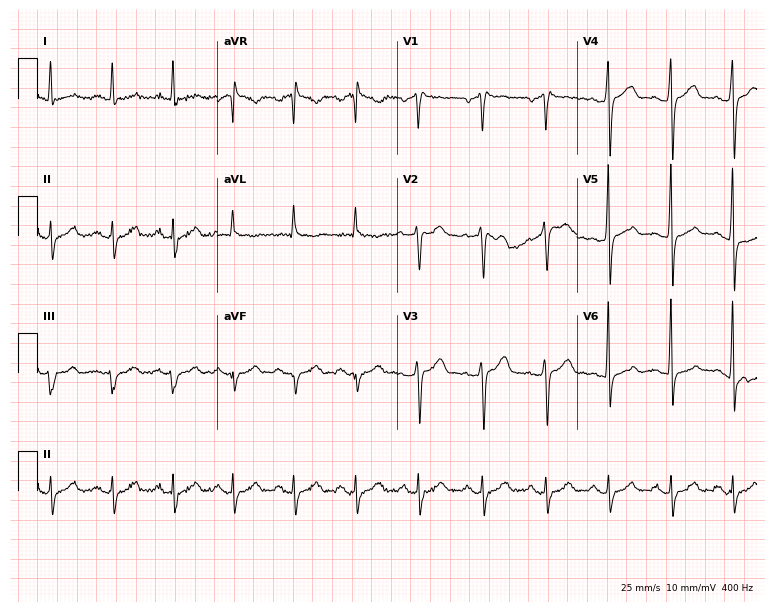
12-lead ECG (7.3-second recording at 400 Hz) from a male, 57 years old. Screened for six findings — first-degree AV block, right bundle branch block, left bundle branch block, sinus bradycardia, atrial fibrillation, sinus tachycardia — none is recorded. Other findings, if any, are not listed.